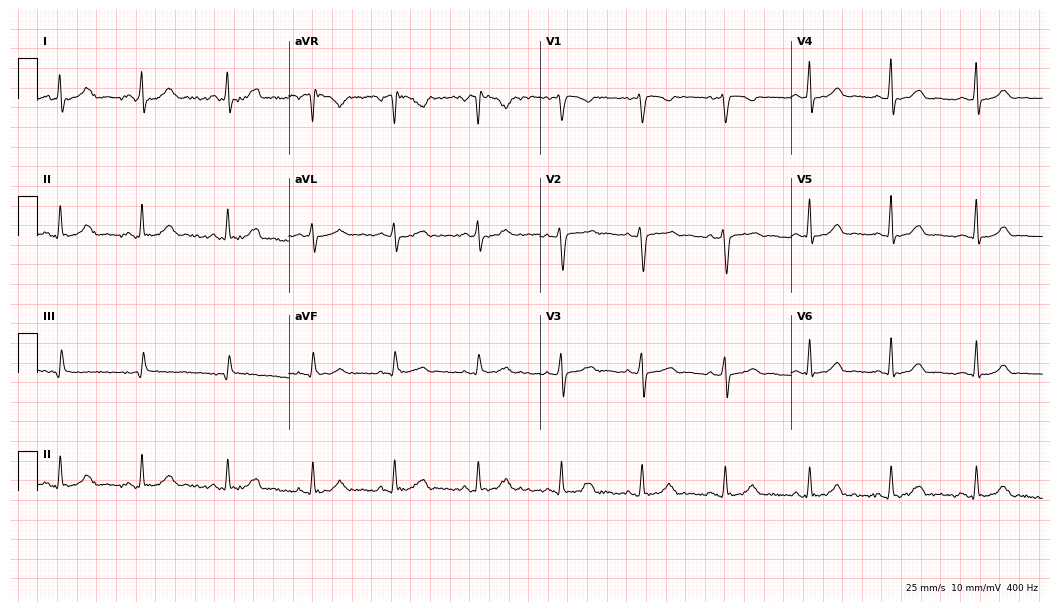
Standard 12-lead ECG recorded from a female, 48 years old (10.2-second recording at 400 Hz). Read as a normal ECG.